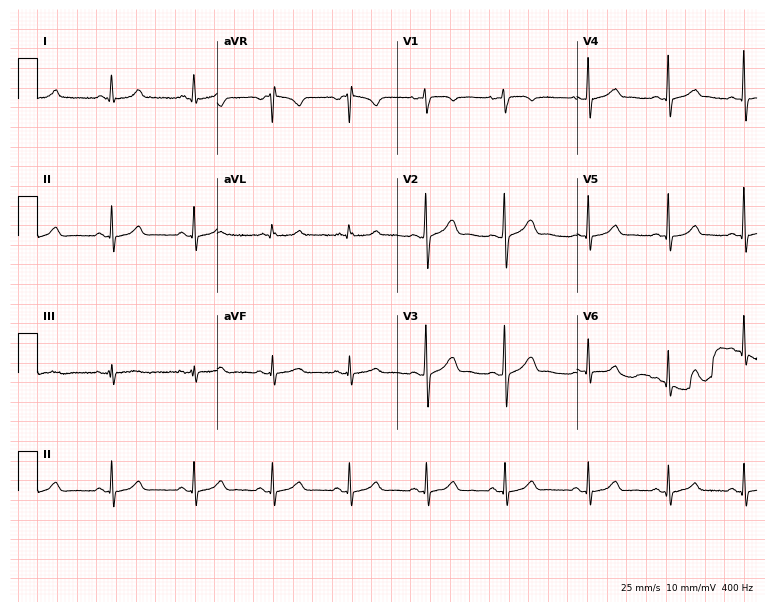
ECG (7.3-second recording at 400 Hz) — a woman, 30 years old. Labelled as a normal ECG.